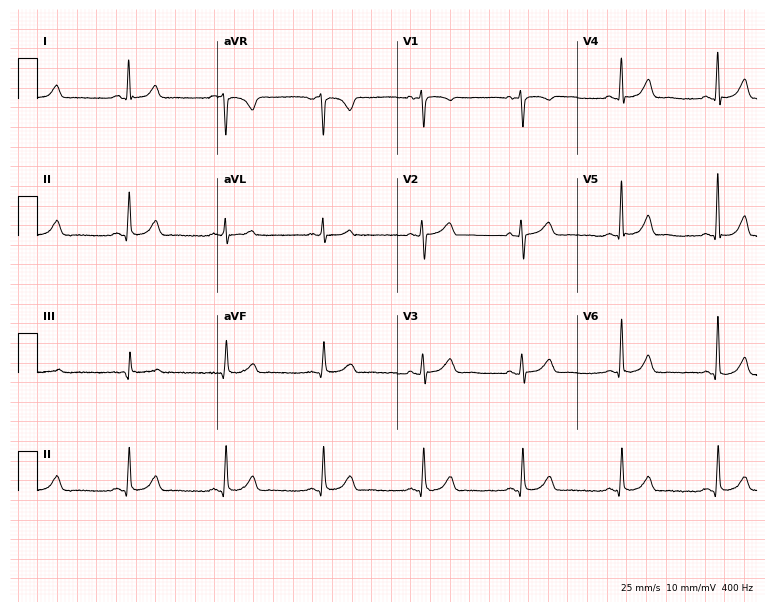
Standard 12-lead ECG recorded from a 57-year-old woman. Read as a normal ECG.